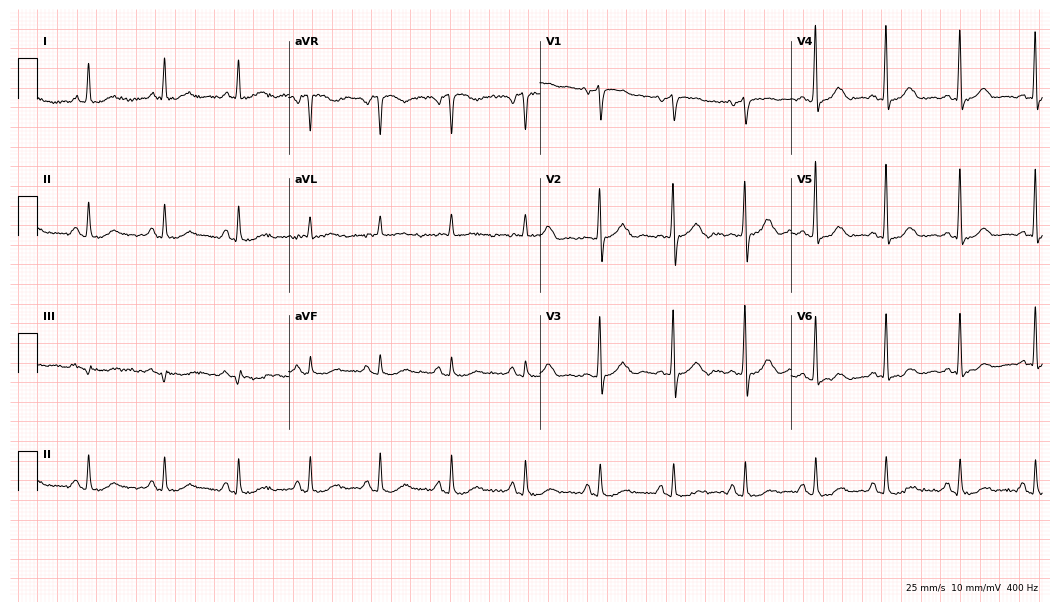
Resting 12-lead electrocardiogram (10.2-second recording at 400 Hz). Patient: a 76-year-old male. None of these six findings is recorded: first-degree AV block, right bundle branch block, left bundle branch block, sinus bradycardia, atrial fibrillation, sinus tachycardia. Only these six findings were labelled.